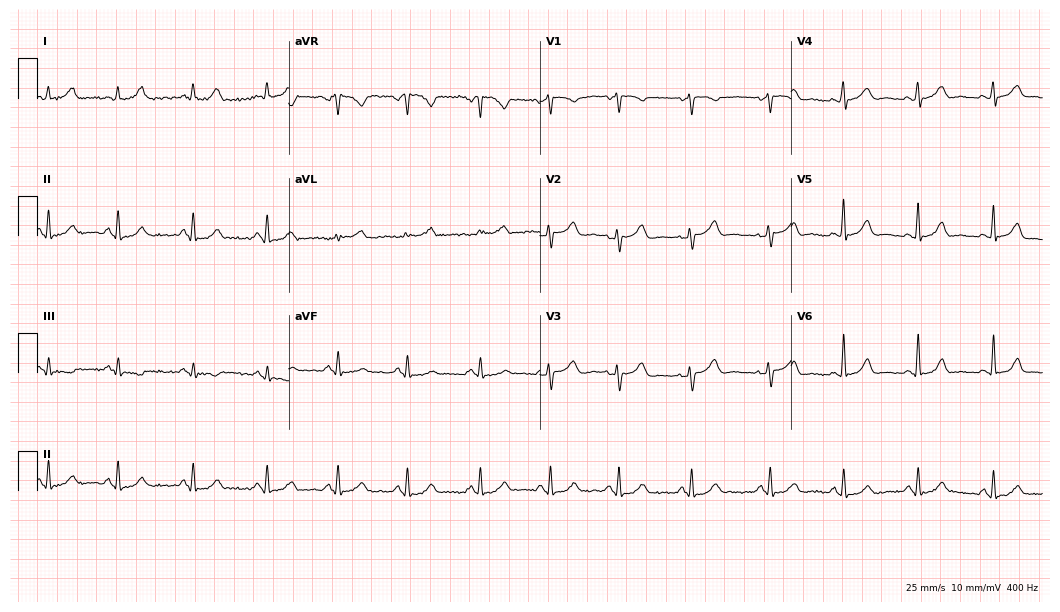
12-lead ECG from a female, 48 years old. Recorded interpretation: within normal limits.